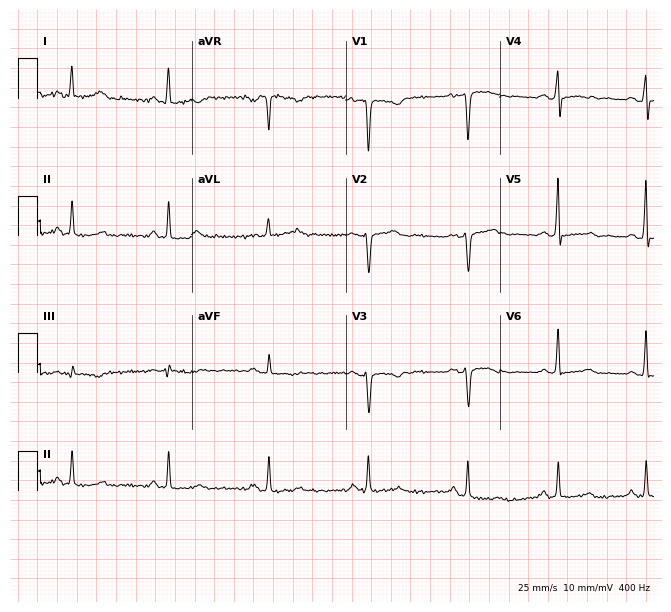
Standard 12-lead ECG recorded from a woman, 52 years old. None of these six findings is recorded: first-degree AV block, right bundle branch block (RBBB), left bundle branch block (LBBB), sinus bradycardia, atrial fibrillation (AF), sinus tachycardia. Only these six findings were labelled.